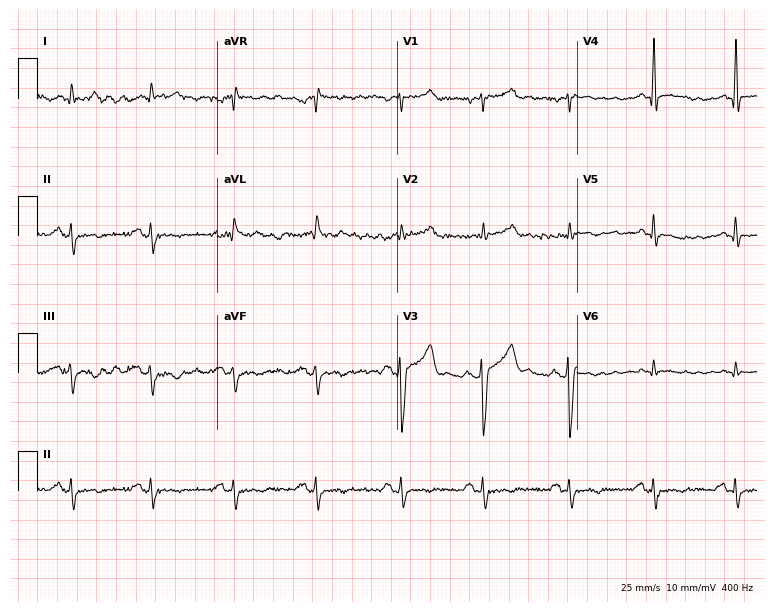
Standard 12-lead ECG recorded from a 64-year-old male patient. None of these six findings is recorded: first-degree AV block, right bundle branch block, left bundle branch block, sinus bradycardia, atrial fibrillation, sinus tachycardia. Only these six findings were labelled.